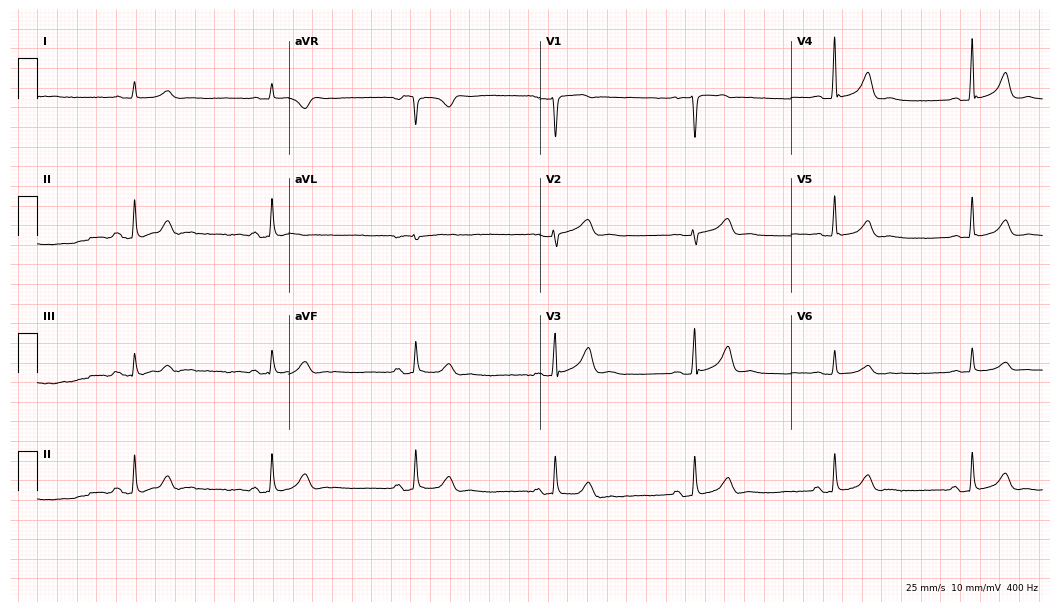
Electrocardiogram, a male patient, 63 years old. Interpretation includes first-degree AV block, sinus bradycardia (a sinus rate of 50 beats per minute or less).